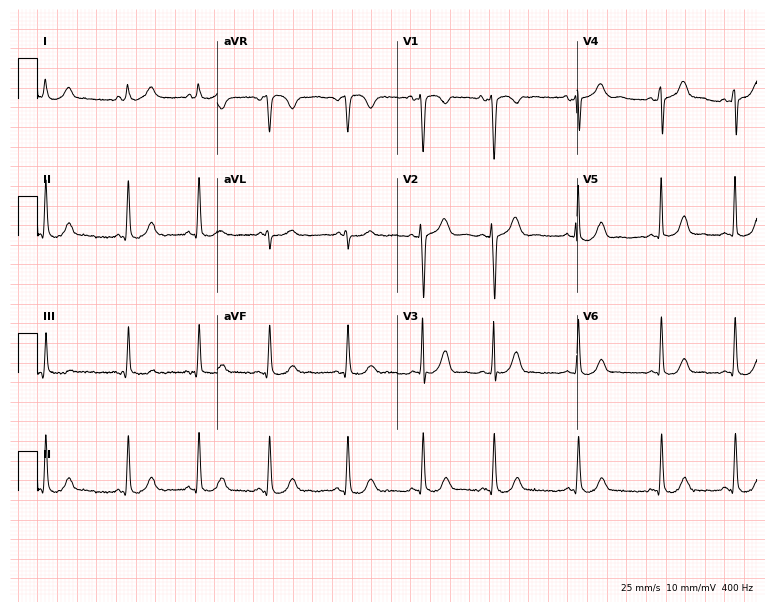
Standard 12-lead ECG recorded from a 19-year-old female (7.3-second recording at 400 Hz). Read as a normal ECG.